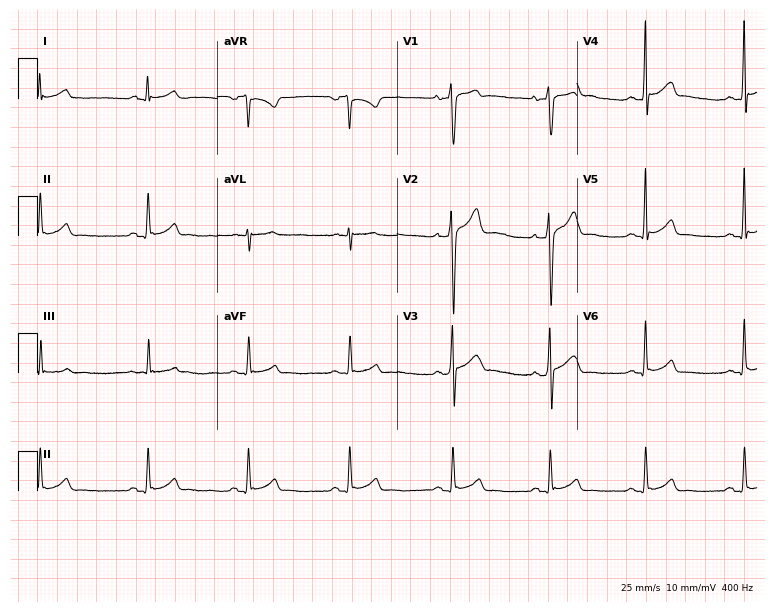
Standard 12-lead ECG recorded from a man, 25 years old (7.3-second recording at 400 Hz). Read as a normal ECG.